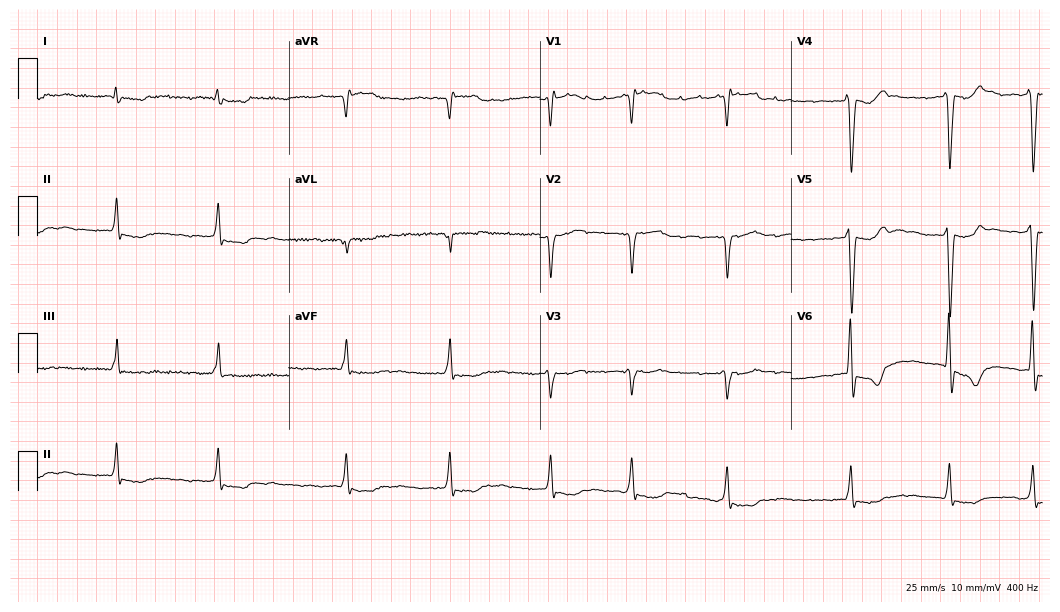
ECG — a 70-year-old male patient. Screened for six findings — first-degree AV block, right bundle branch block, left bundle branch block, sinus bradycardia, atrial fibrillation, sinus tachycardia — none is recorded.